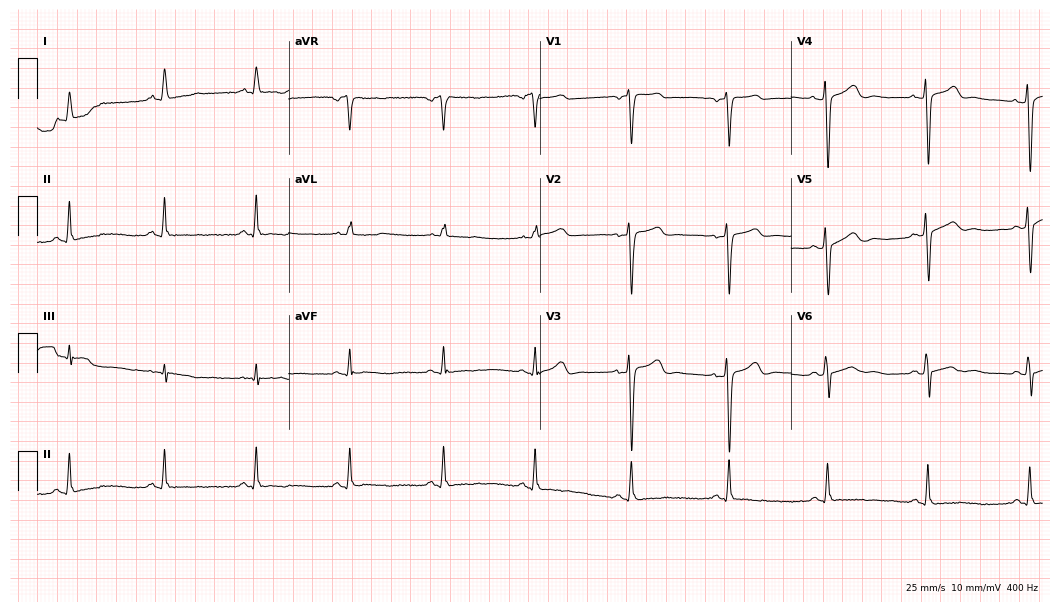
12-lead ECG (10.2-second recording at 400 Hz) from a 31-year-old male. Screened for six findings — first-degree AV block, right bundle branch block, left bundle branch block, sinus bradycardia, atrial fibrillation, sinus tachycardia — none is recorded.